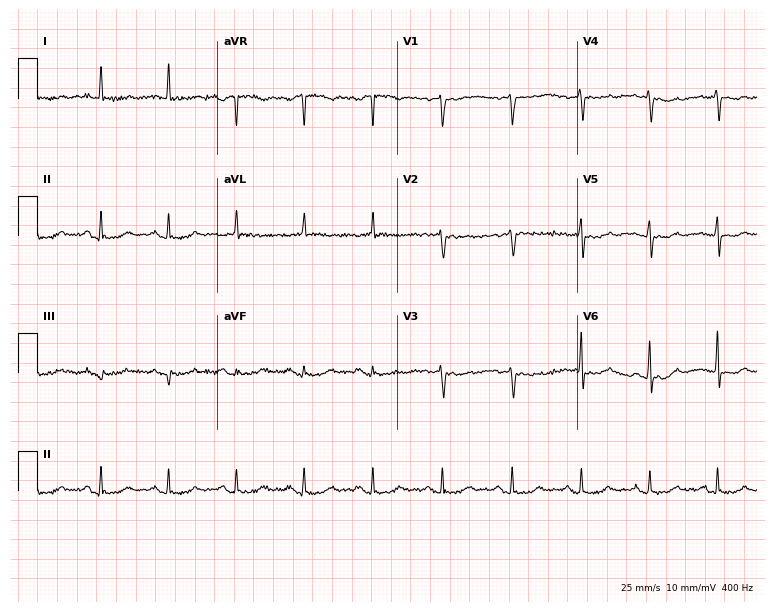
Standard 12-lead ECG recorded from a female, 83 years old (7.3-second recording at 400 Hz). None of these six findings is recorded: first-degree AV block, right bundle branch block (RBBB), left bundle branch block (LBBB), sinus bradycardia, atrial fibrillation (AF), sinus tachycardia. Only these six findings were labelled.